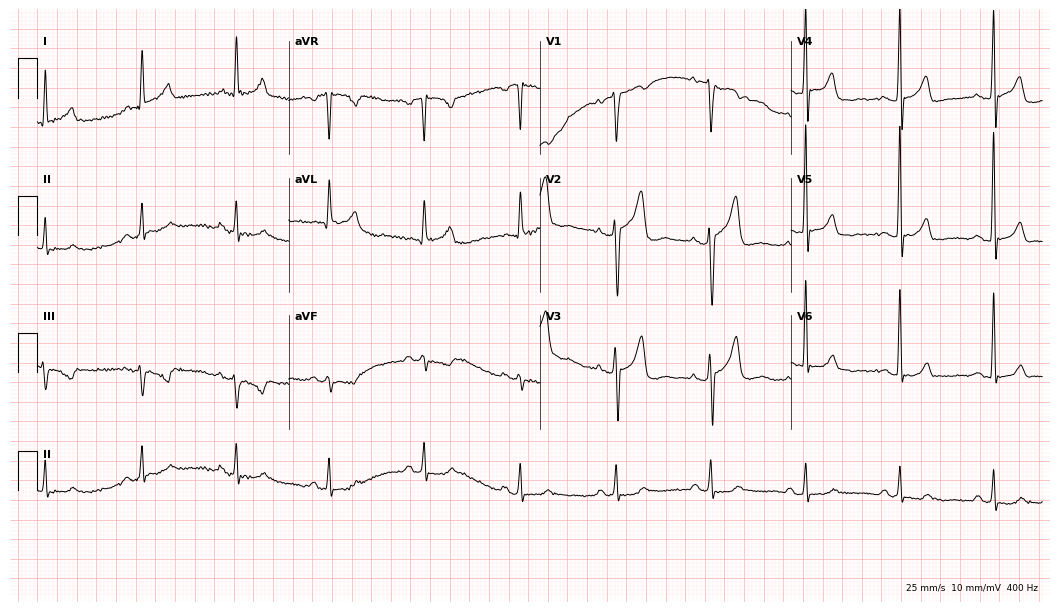
Resting 12-lead electrocardiogram. Patient: a male, 69 years old. None of these six findings is recorded: first-degree AV block, right bundle branch block (RBBB), left bundle branch block (LBBB), sinus bradycardia, atrial fibrillation (AF), sinus tachycardia.